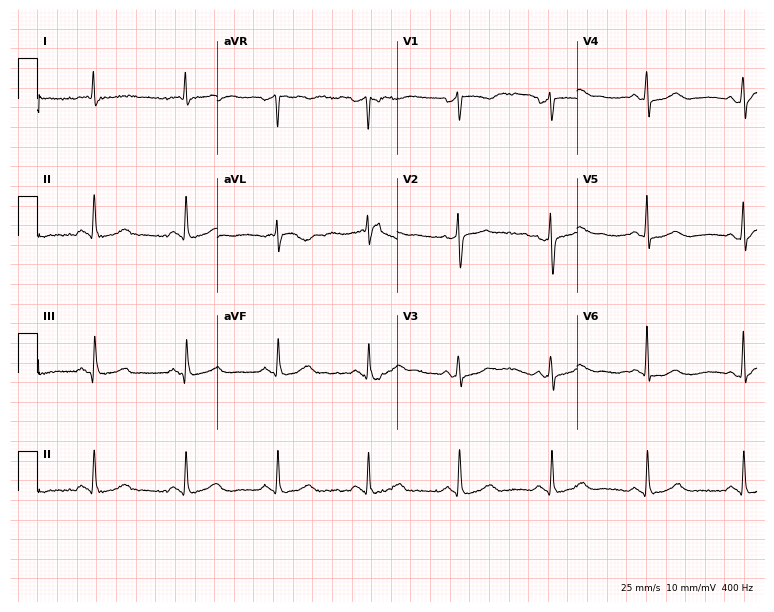
12-lead ECG (7.3-second recording at 400 Hz) from an 81-year-old female. Screened for six findings — first-degree AV block, right bundle branch block, left bundle branch block, sinus bradycardia, atrial fibrillation, sinus tachycardia — none is recorded.